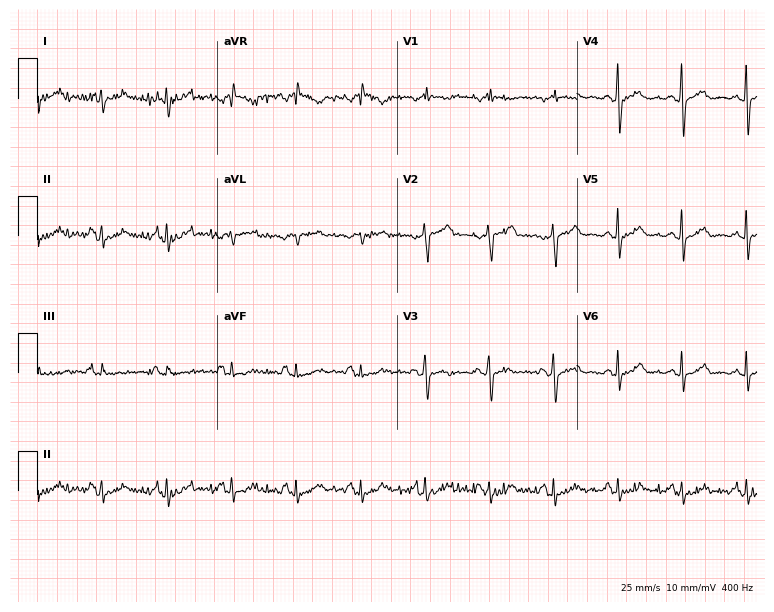
Electrocardiogram (7.3-second recording at 400 Hz), a female, 68 years old. Overall reading on record: normal ECG.